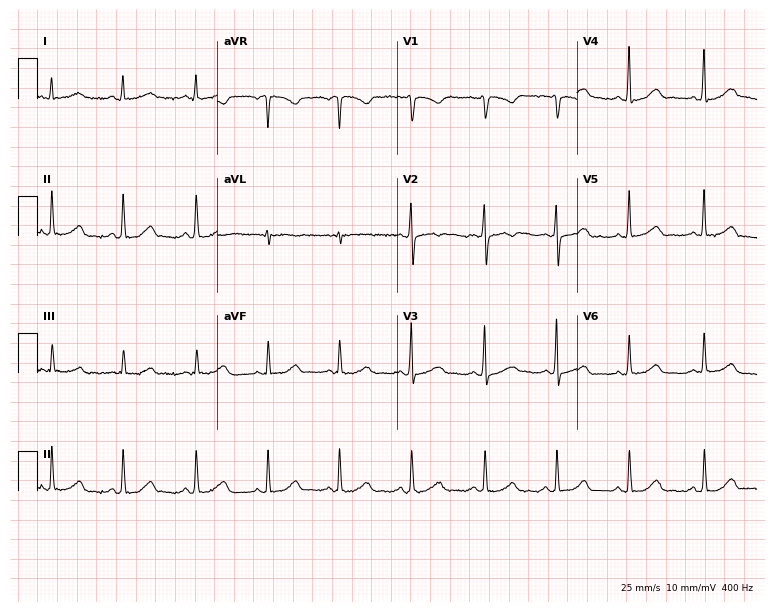
12-lead ECG from a woman, 50 years old (7.3-second recording at 400 Hz). Recorded interpretation: within normal limits.